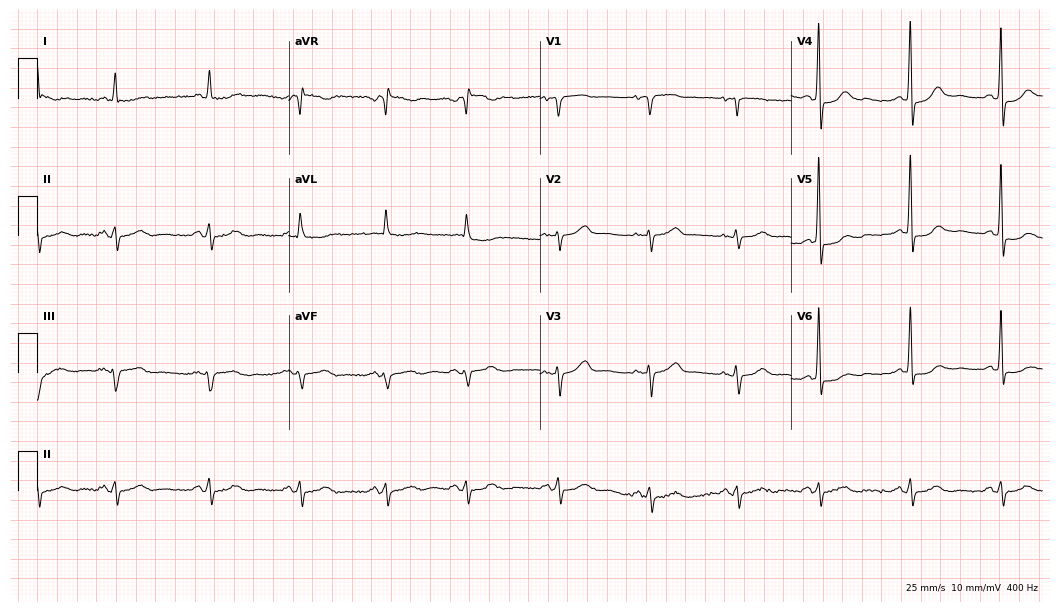
Standard 12-lead ECG recorded from a woman, 76 years old. None of these six findings is recorded: first-degree AV block, right bundle branch block (RBBB), left bundle branch block (LBBB), sinus bradycardia, atrial fibrillation (AF), sinus tachycardia. Findings outside these six are not listed.